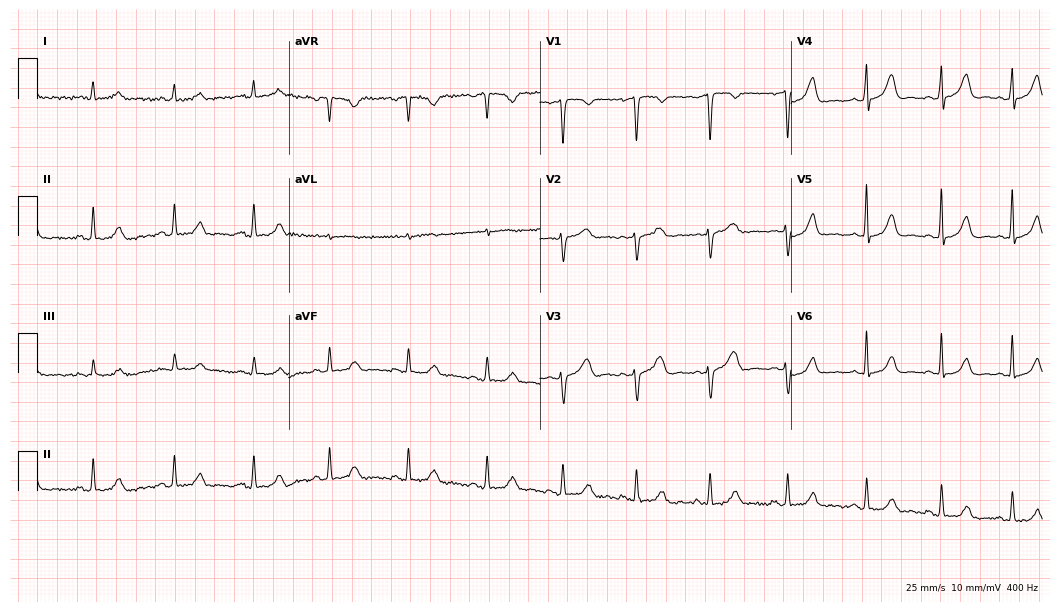
Resting 12-lead electrocardiogram. Patient: a woman, 37 years old. Read as a normal ECG.